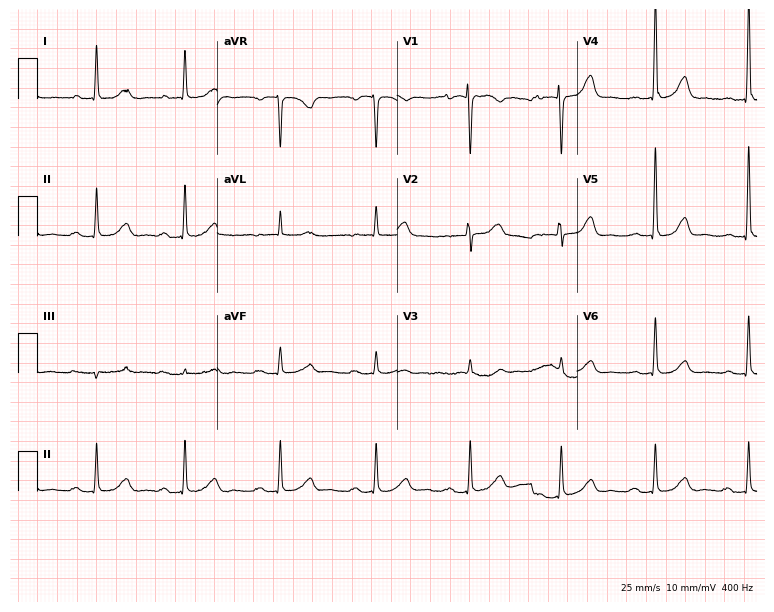
Resting 12-lead electrocardiogram (7.3-second recording at 400 Hz). Patient: an 83-year-old female. Read as a normal ECG.